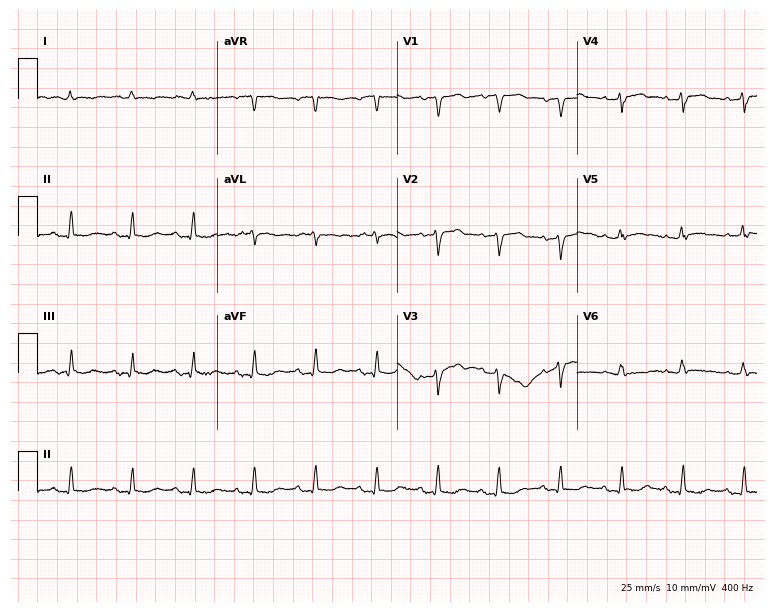
12-lead ECG from a female, 81 years old (7.3-second recording at 400 Hz). No first-degree AV block, right bundle branch block, left bundle branch block, sinus bradycardia, atrial fibrillation or sinus tachycardia recorded for this tracing.